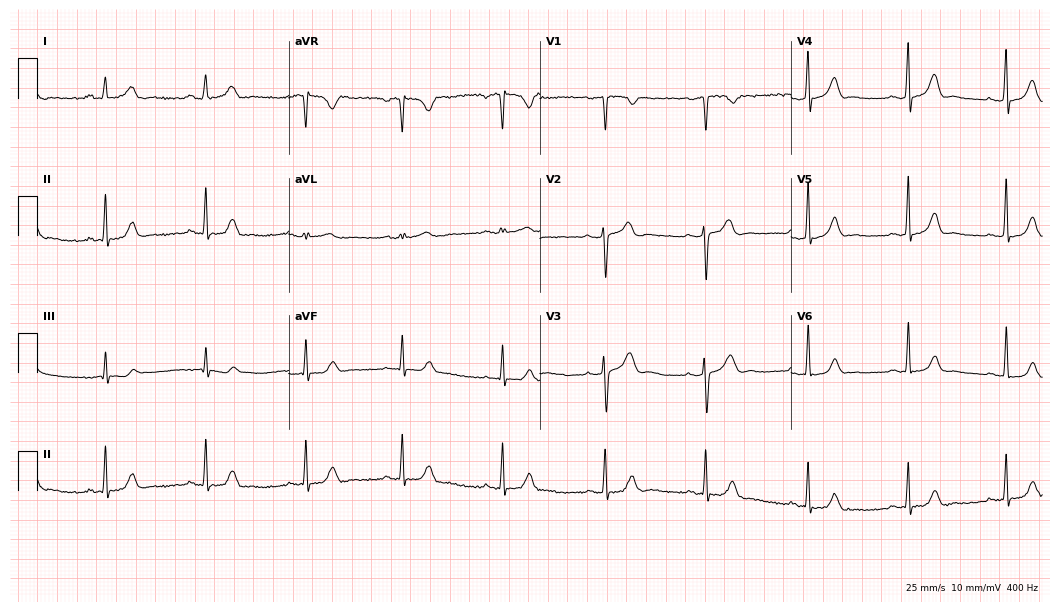
12-lead ECG from a 36-year-old female patient. No first-degree AV block, right bundle branch block, left bundle branch block, sinus bradycardia, atrial fibrillation or sinus tachycardia recorded for this tracing. Only these six findings were labelled.